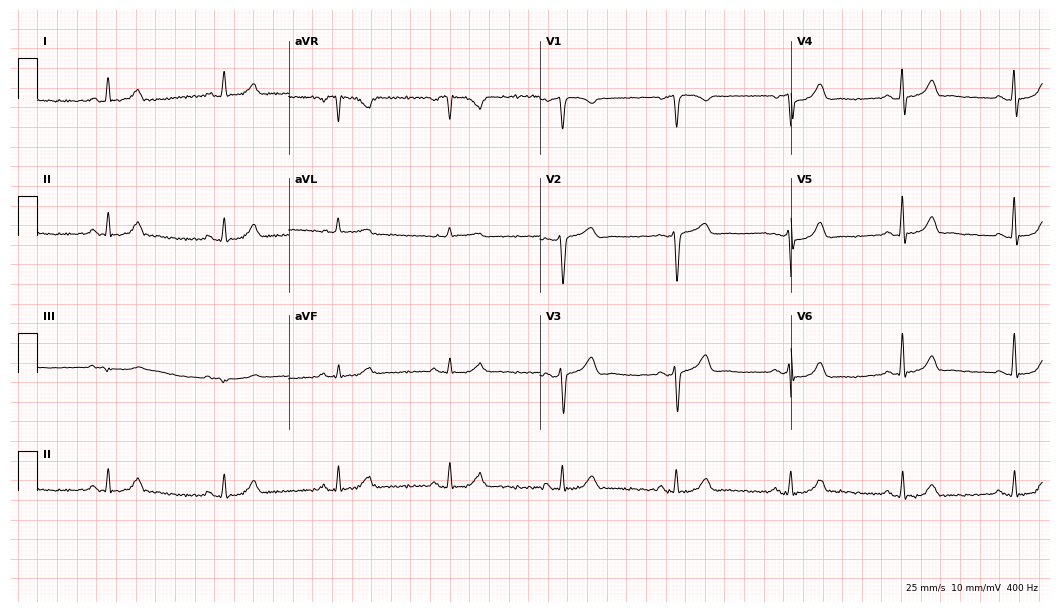
Electrocardiogram, a 63-year-old male patient. Overall reading on record: normal ECG.